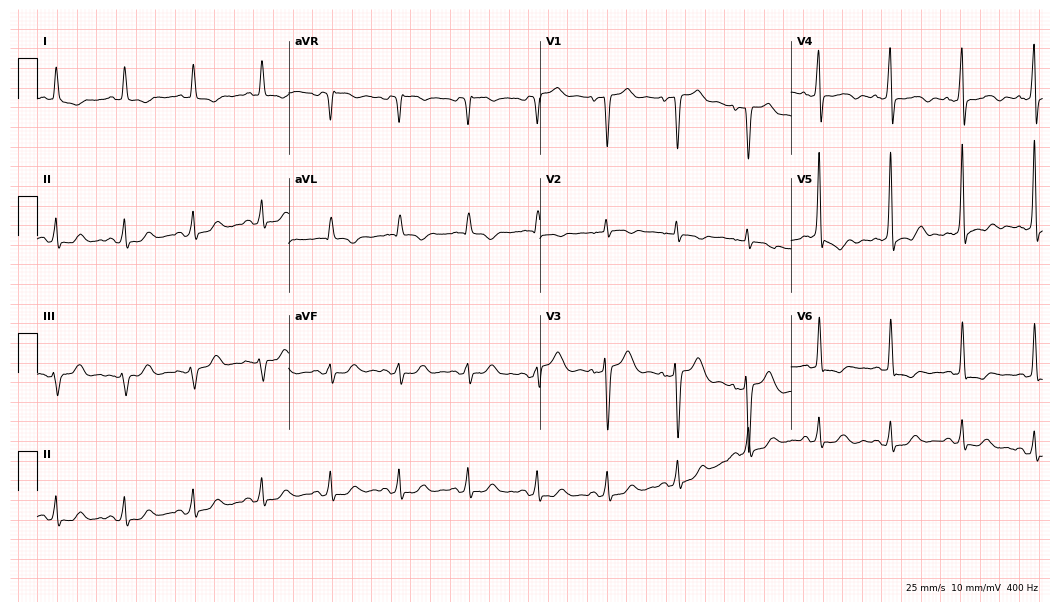
12-lead ECG from a female patient, 70 years old. Screened for six findings — first-degree AV block, right bundle branch block, left bundle branch block, sinus bradycardia, atrial fibrillation, sinus tachycardia — none is recorded.